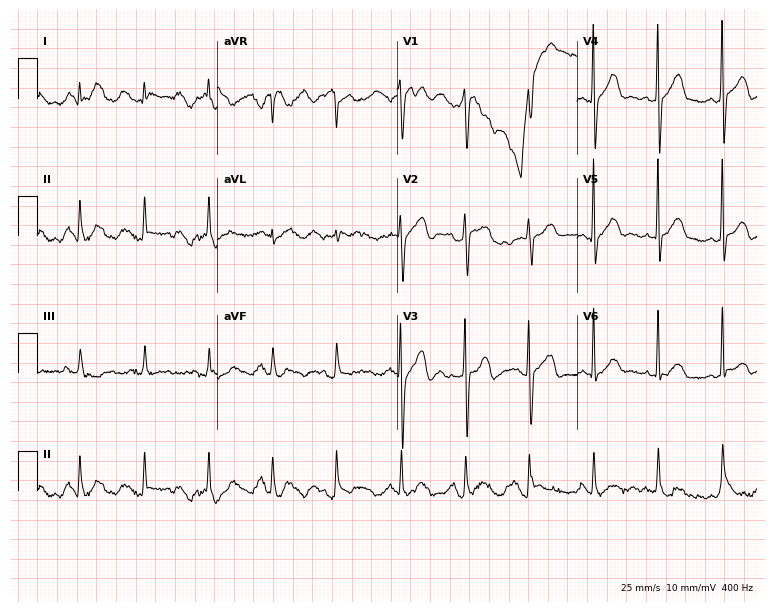
12-lead ECG from a 54-year-old male patient. No first-degree AV block, right bundle branch block (RBBB), left bundle branch block (LBBB), sinus bradycardia, atrial fibrillation (AF) or sinus tachycardia recorded for this tracing.